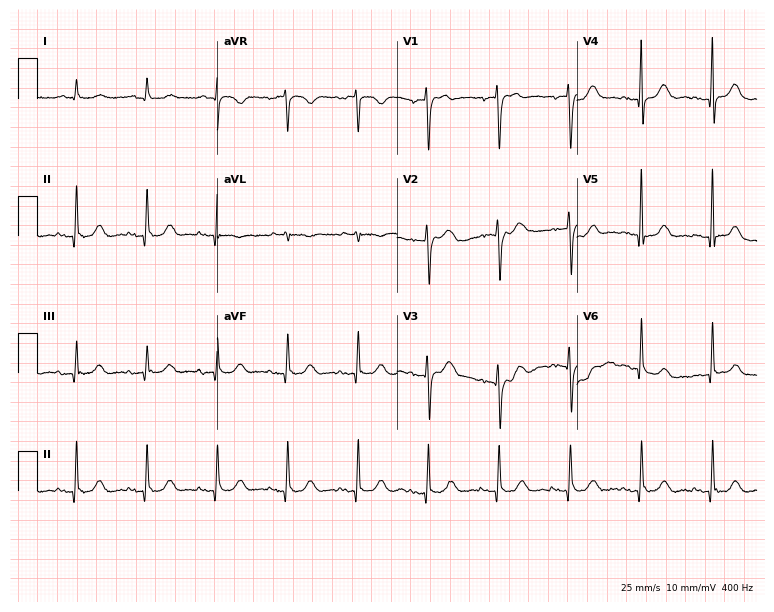
Resting 12-lead electrocardiogram (7.3-second recording at 400 Hz). Patient: a male, 78 years old. Read as a normal ECG.